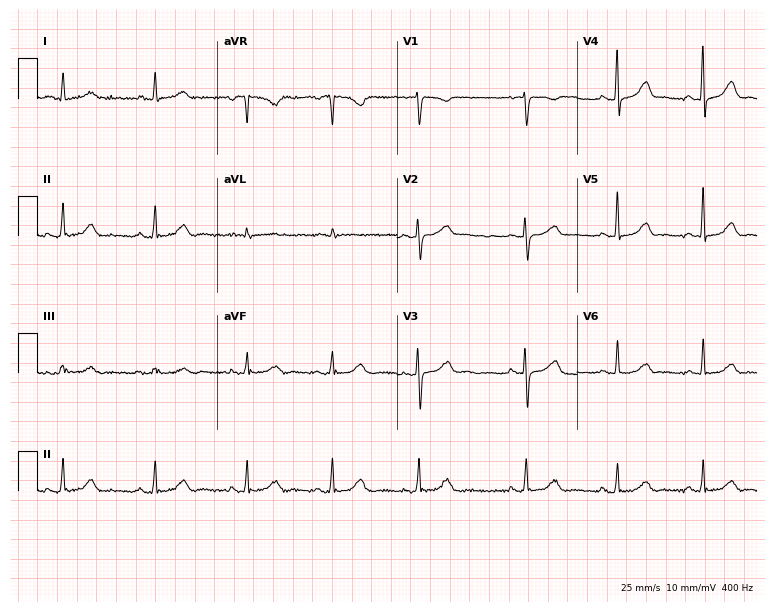
12-lead ECG (7.3-second recording at 400 Hz) from a female, 55 years old. Labelled as a normal ECG.